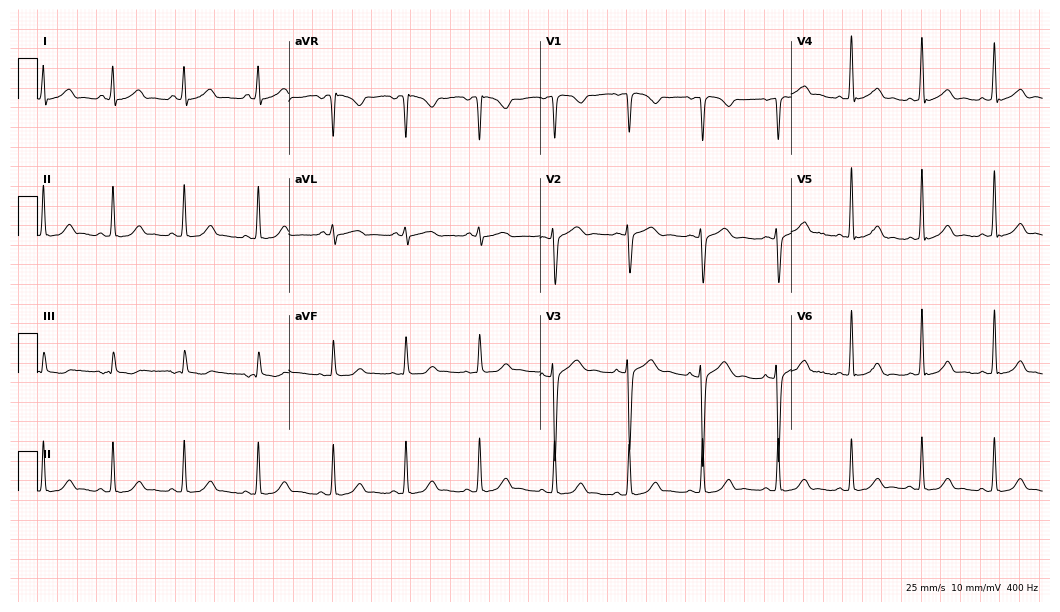
Resting 12-lead electrocardiogram. Patient: a female, 23 years old. Read as a normal ECG.